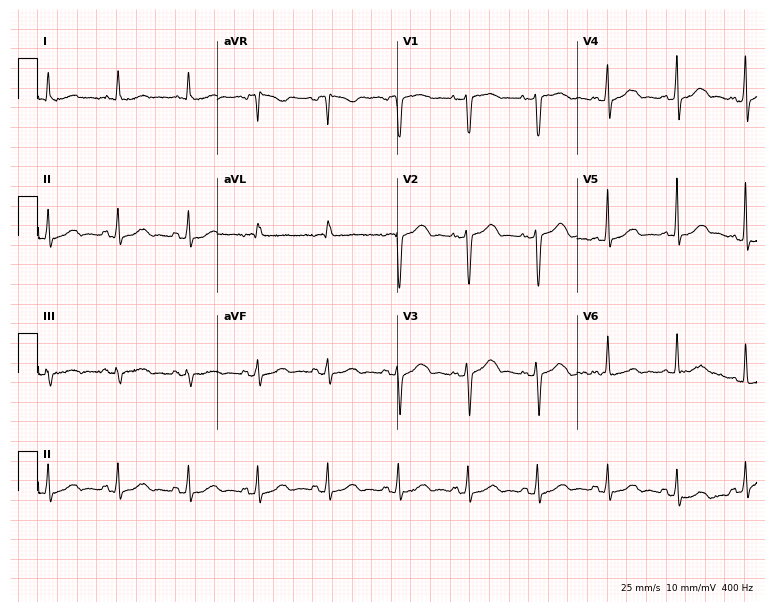
Resting 12-lead electrocardiogram. Patient: a 70-year-old female. Read as a normal ECG.